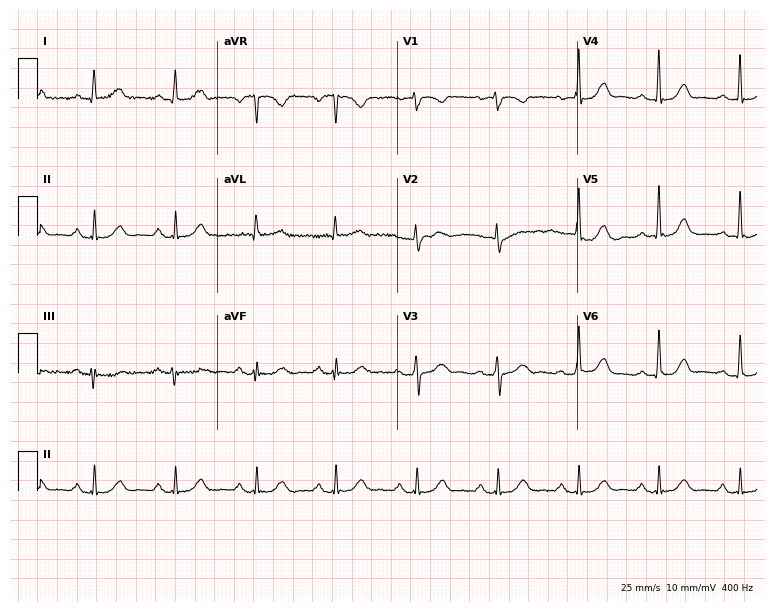
Standard 12-lead ECG recorded from a 72-year-old female (7.3-second recording at 400 Hz). None of these six findings is recorded: first-degree AV block, right bundle branch block (RBBB), left bundle branch block (LBBB), sinus bradycardia, atrial fibrillation (AF), sinus tachycardia. Findings outside these six are not listed.